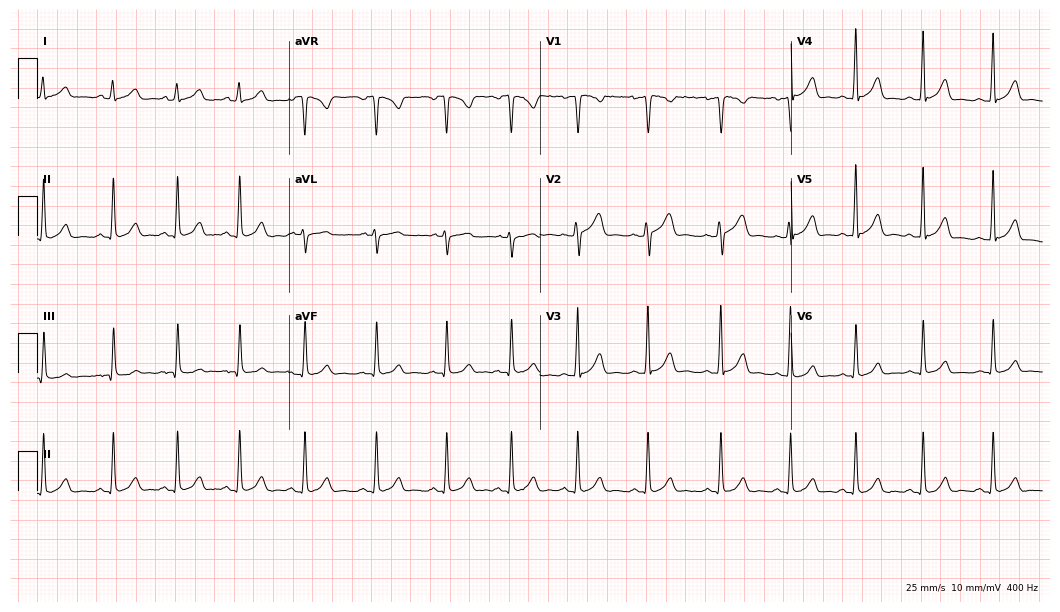
Standard 12-lead ECG recorded from a 19-year-old female. Read as a normal ECG.